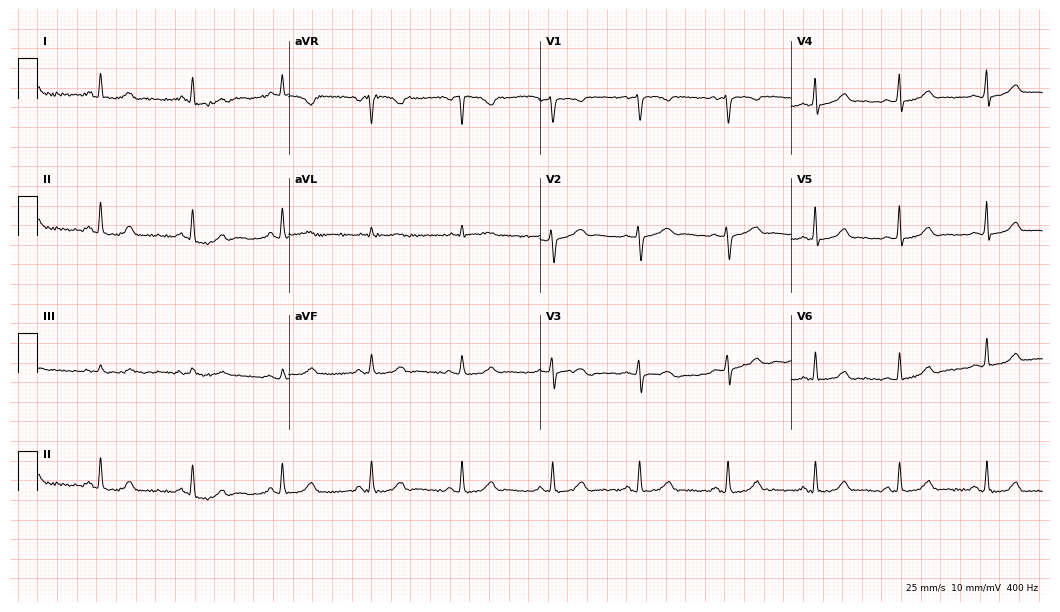
ECG — a 42-year-old woman. Labelled as a normal ECG.